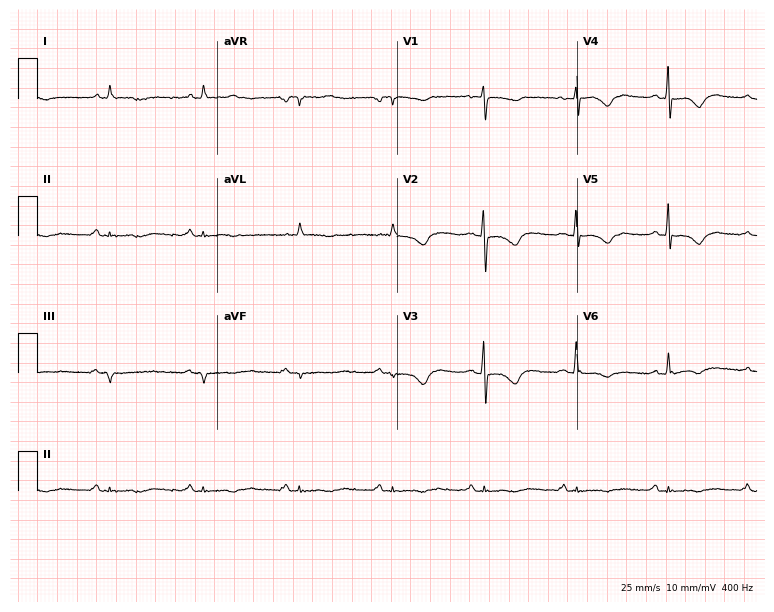
ECG (7.3-second recording at 400 Hz) — a 53-year-old female patient. Screened for six findings — first-degree AV block, right bundle branch block, left bundle branch block, sinus bradycardia, atrial fibrillation, sinus tachycardia — none is recorded.